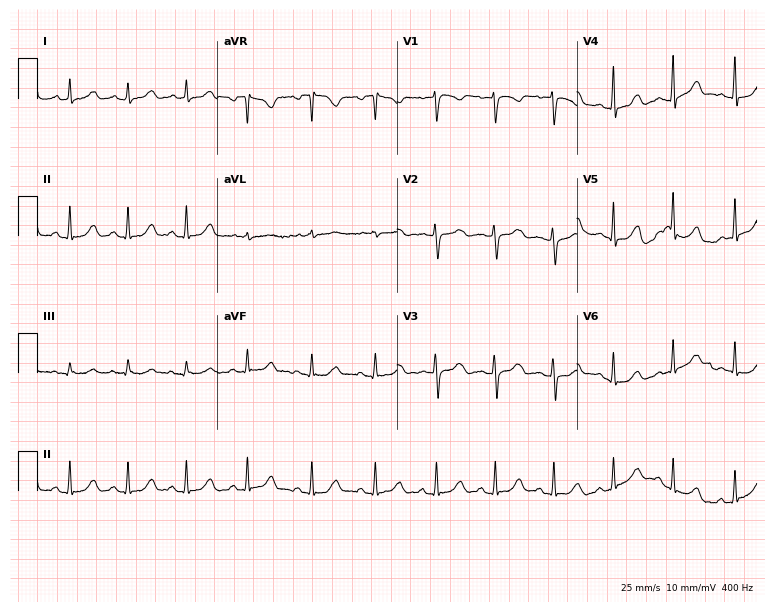
Standard 12-lead ECG recorded from a female, 30 years old (7.3-second recording at 400 Hz). None of these six findings is recorded: first-degree AV block, right bundle branch block, left bundle branch block, sinus bradycardia, atrial fibrillation, sinus tachycardia.